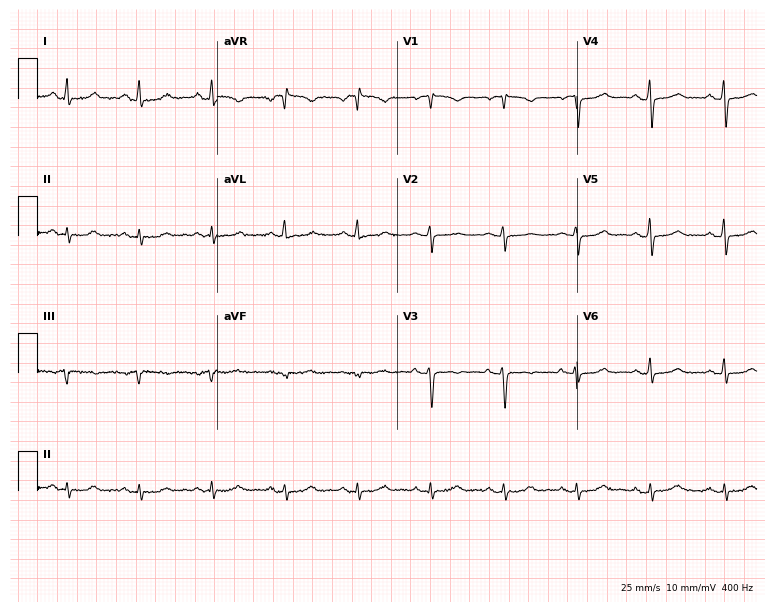
Electrocardiogram, a woman, 47 years old. Of the six screened findings (first-degree AV block, right bundle branch block, left bundle branch block, sinus bradycardia, atrial fibrillation, sinus tachycardia), none is recorded. Other findings, if any, are not listed.